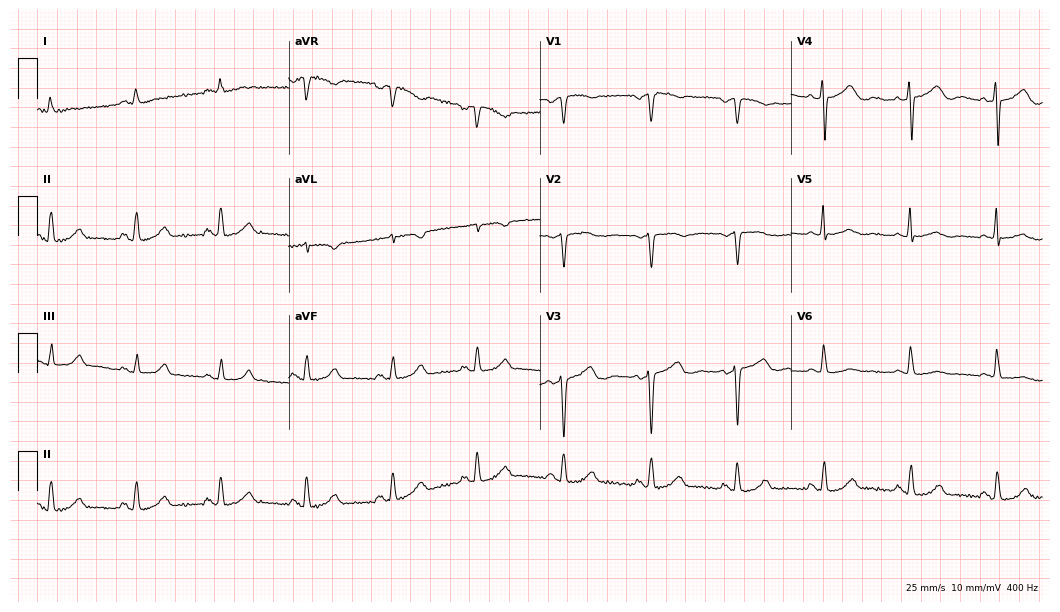
Standard 12-lead ECG recorded from a female, 66 years old. None of these six findings is recorded: first-degree AV block, right bundle branch block, left bundle branch block, sinus bradycardia, atrial fibrillation, sinus tachycardia. Findings outside these six are not listed.